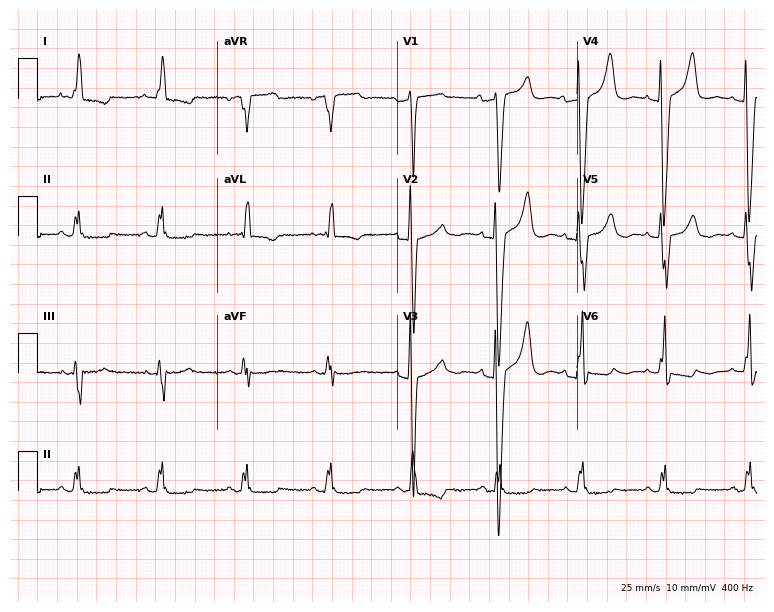
Standard 12-lead ECG recorded from a 69-year-old female. The tracing shows left bundle branch block.